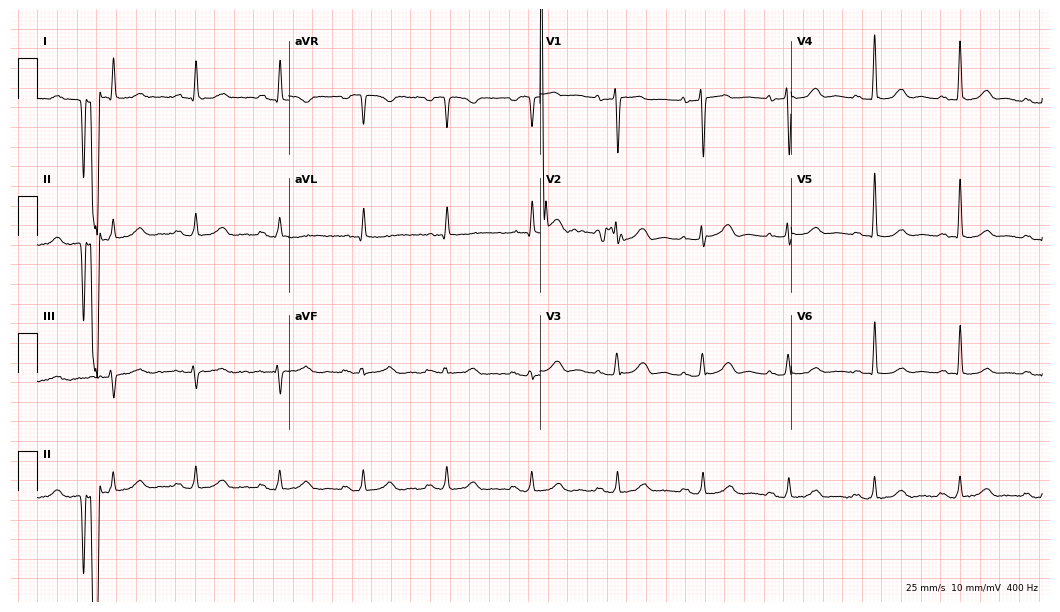
12-lead ECG (10.2-second recording at 400 Hz) from a female, 75 years old. Labelled as a normal ECG.